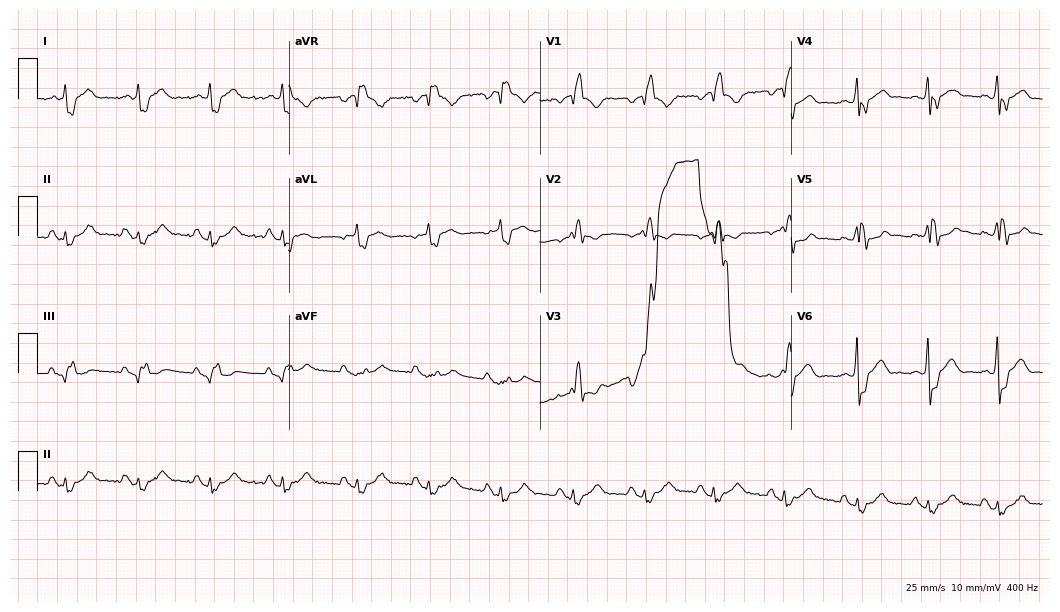
12-lead ECG from a 59-year-old male patient (10.2-second recording at 400 Hz). Shows right bundle branch block (RBBB).